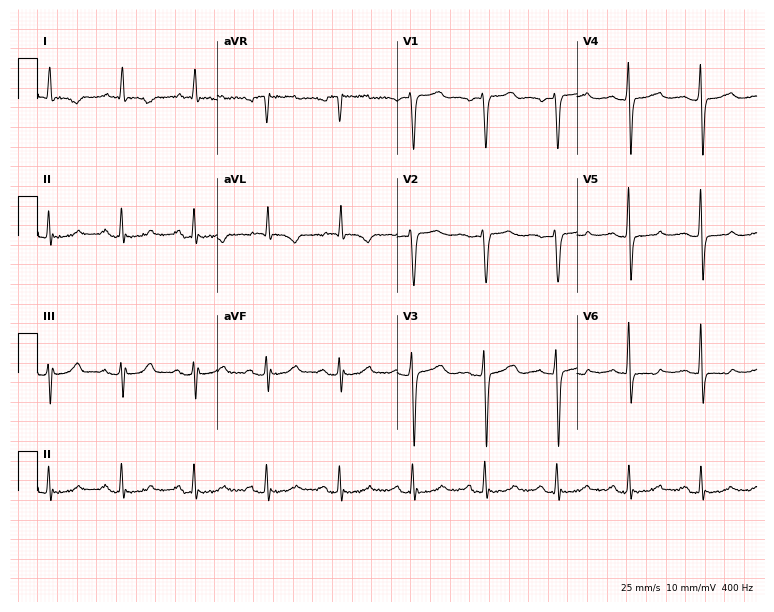
12-lead ECG from a woman, 61 years old. Screened for six findings — first-degree AV block, right bundle branch block, left bundle branch block, sinus bradycardia, atrial fibrillation, sinus tachycardia — none is recorded. Findings outside these six are not listed.